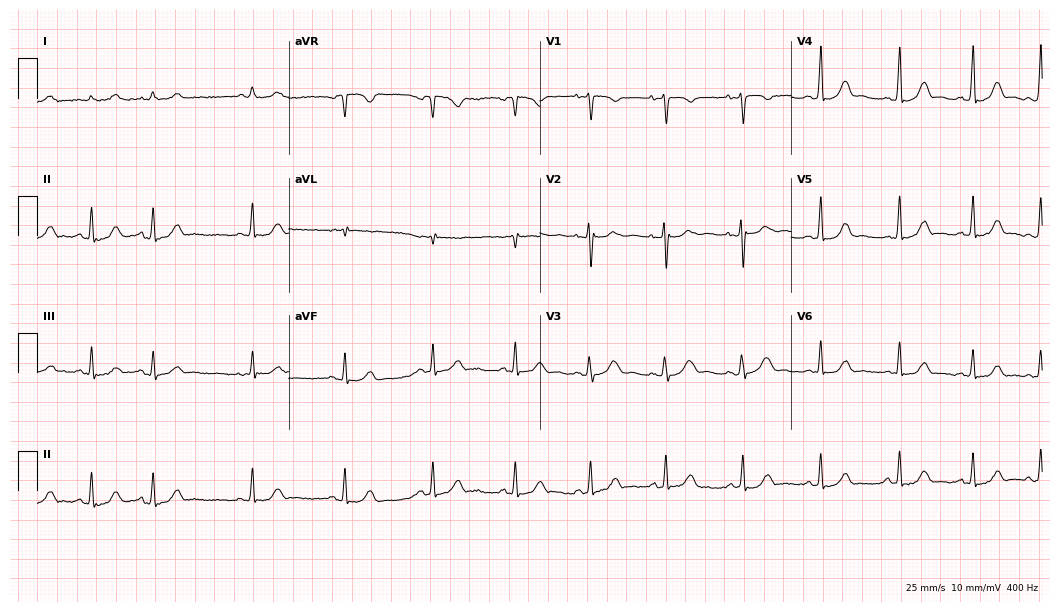
Resting 12-lead electrocardiogram (10.2-second recording at 400 Hz). Patient: a woman, 19 years old. Read as a normal ECG.